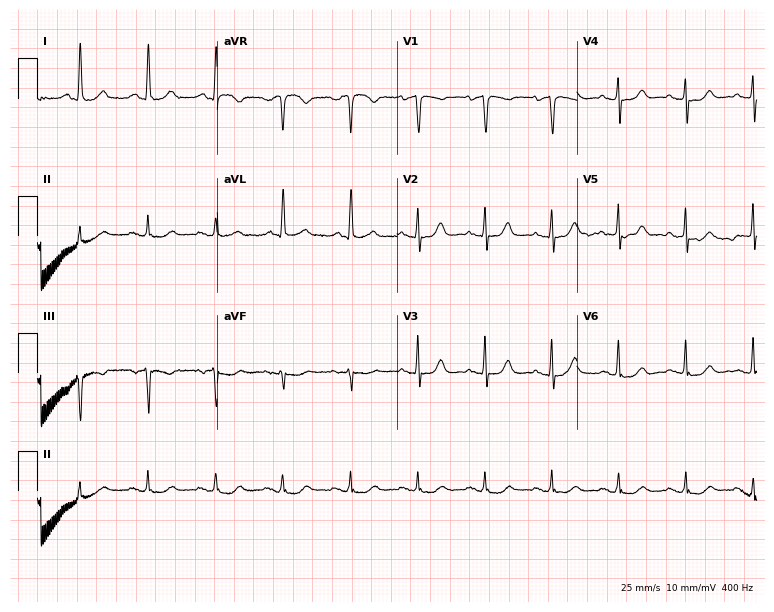
Electrocardiogram, a female, 85 years old. Of the six screened findings (first-degree AV block, right bundle branch block (RBBB), left bundle branch block (LBBB), sinus bradycardia, atrial fibrillation (AF), sinus tachycardia), none is recorded.